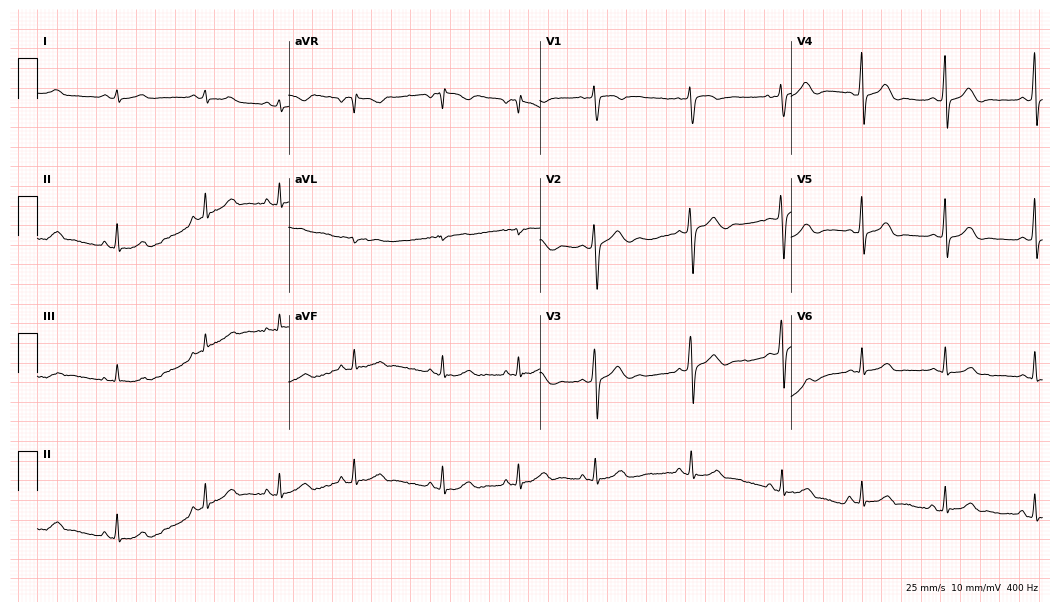
Electrocardiogram (10.2-second recording at 400 Hz), a woman, 17 years old. Overall reading on record: normal ECG.